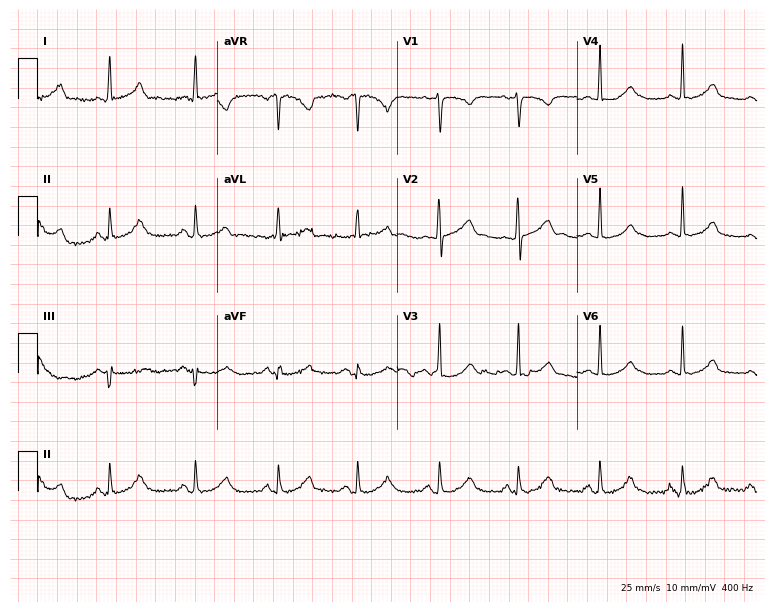
12-lead ECG (7.3-second recording at 400 Hz) from a woman, 24 years old. Labelled as a normal ECG.